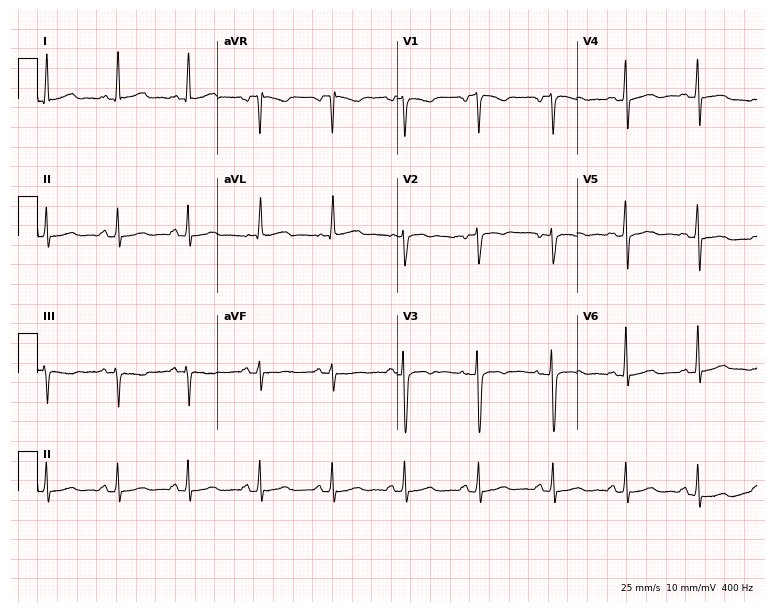
Resting 12-lead electrocardiogram. Patient: a 48-year-old woman. None of these six findings is recorded: first-degree AV block, right bundle branch block (RBBB), left bundle branch block (LBBB), sinus bradycardia, atrial fibrillation (AF), sinus tachycardia.